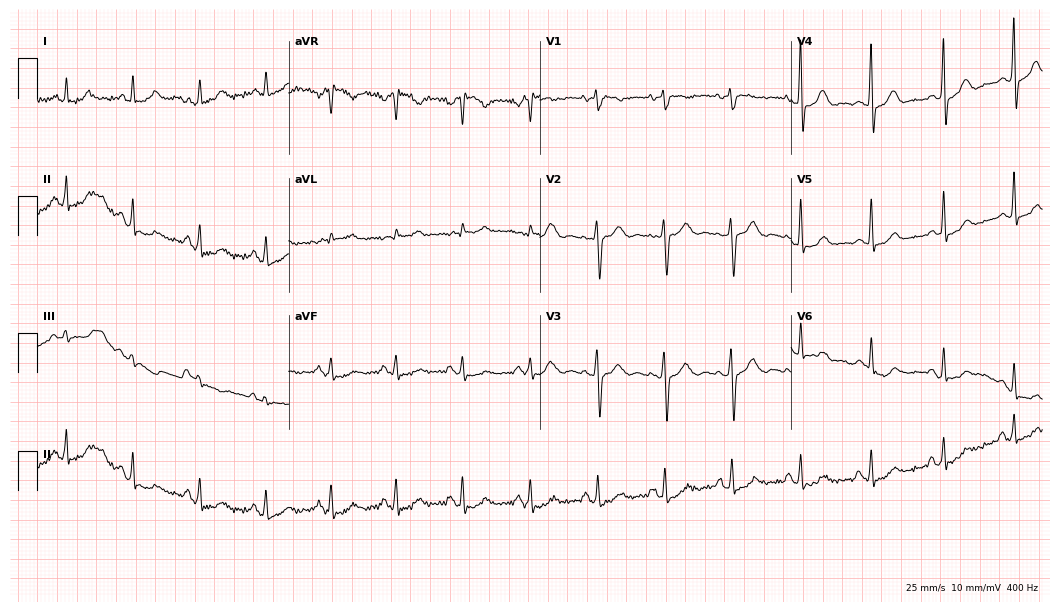
12-lead ECG (10.2-second recording at 400 Hz) from a 49-year-old female. Screened for six findings — first-degree AV block, right bundle branch block, left bundle branch block, sinus bradycardia, atrial fibrillation, sinus tachycardia — none is recorded.